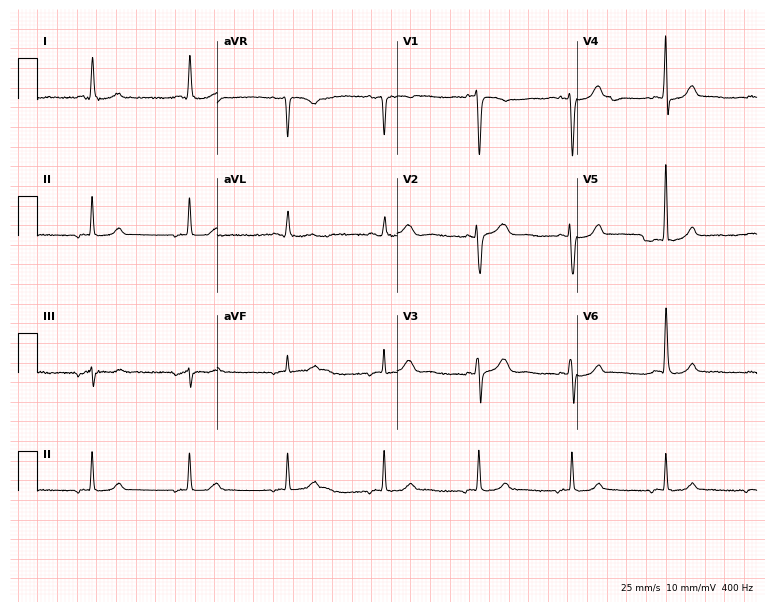
Standard 12-lead ECG recorded from a 65-year-old male (7.3-second recording at 400 Hz). None of these six findings is recorded: first-degree AV block, right bundle branch block (RBBB), left bundle branch block (LBBB), sinus bradycardia, atrial fibrillation (AF), sinus tachycardia. Findings outside these six are not listed.